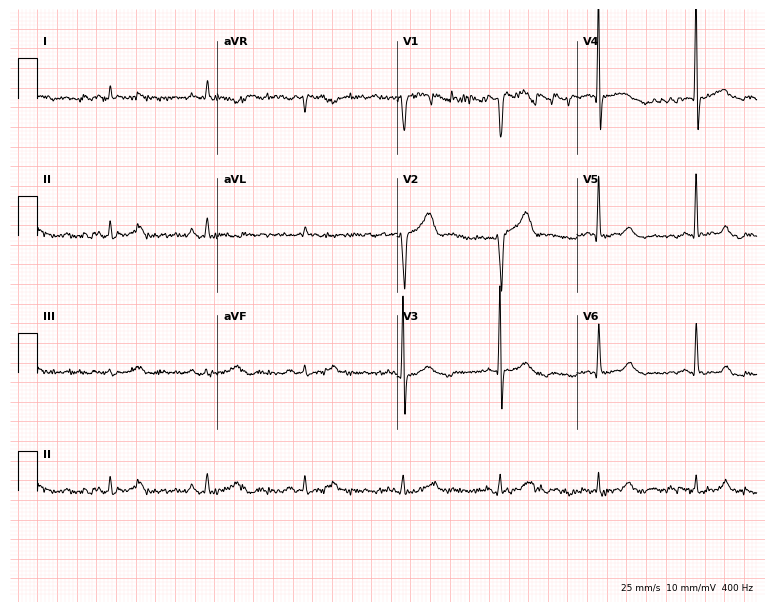
Electrocardiogram (7.3-second recording at 400 Hz), a man, 77 years old. Overall reading on record: normal ECG.